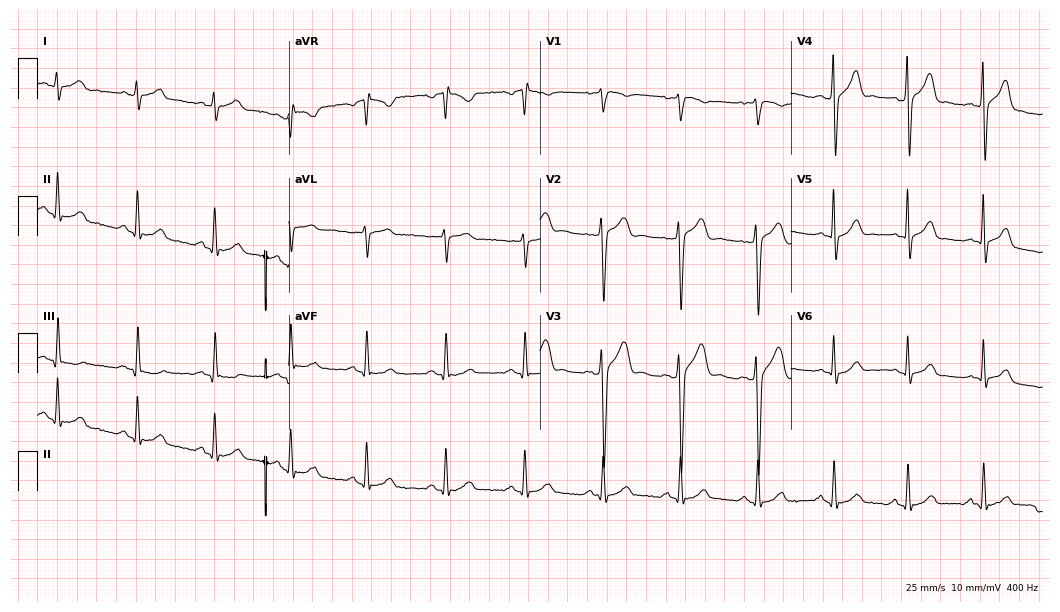
Resting 12-lead electrocardiogram (10.2-second recording at 400 Hz). Patient: a male, 25 years old. Read as a normal ECG.